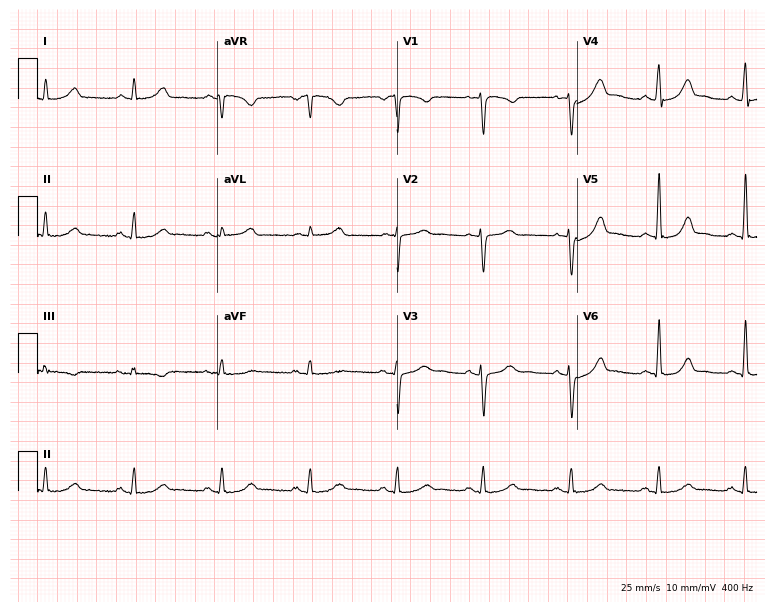
Resting 12-lead electrocardiogram (7.3-second recording at 400 Hz). Patient: a female, 48 years old. None of these six findings is recorded: first-degree AV block, right bundle branch block, left bundle branch block, sinus bradycardia, atrial fibrillation, sinus tachycardia. Findings outside these six are not listed.